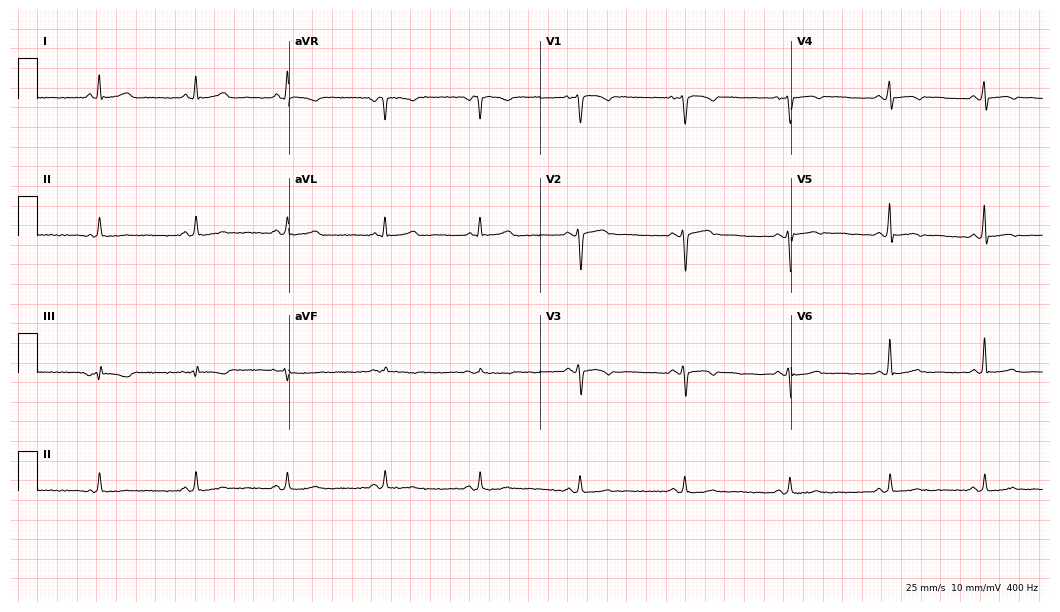
Electrocardiogram, a female patient, 41 years old. Of the six screened findings (first-degree AV block, right bundle branch block (RBBB), left bundle branch block (LBBB), sinus bradycardia, atrial fibrillation (AF), sinus tachycardia), none is recorded. Only these six findings were labelled.